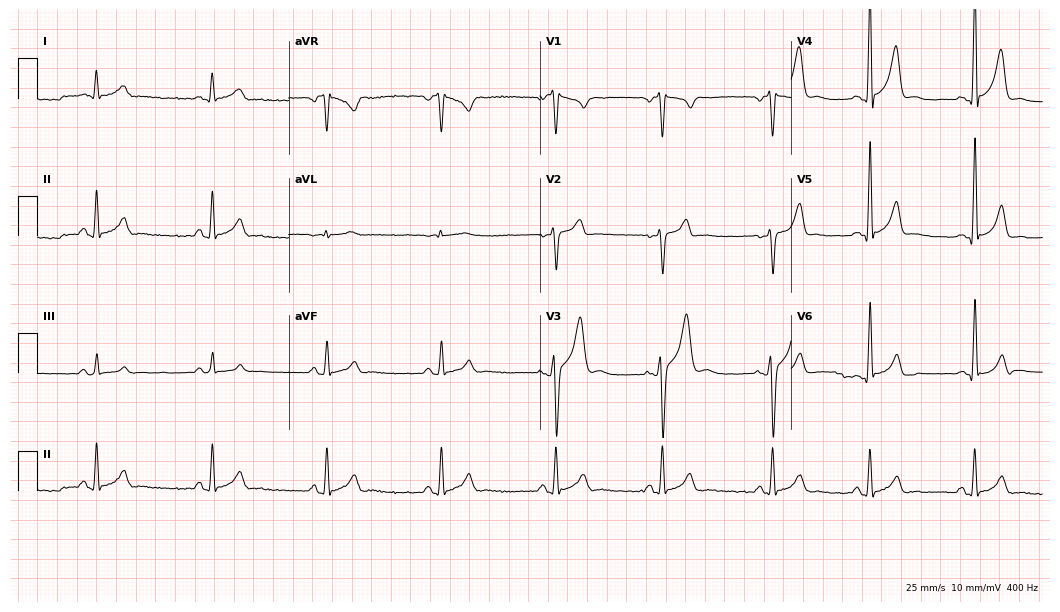
12-lead ECG from a 21-year-old male patient. Recorded interpretation: within normal limits.